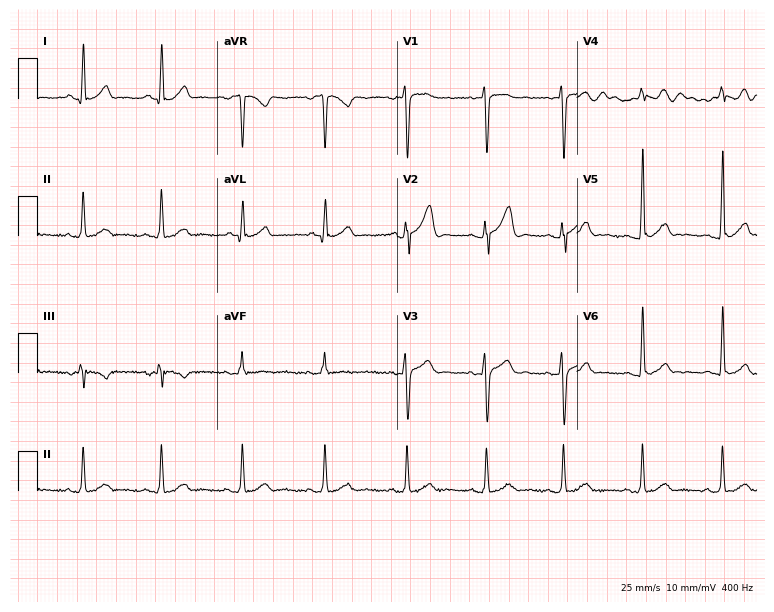
Standard 12-lead ECG recorded from a 22-year-old male patient (7.3-second recording at 400 Hz). Read as a normal ECG.